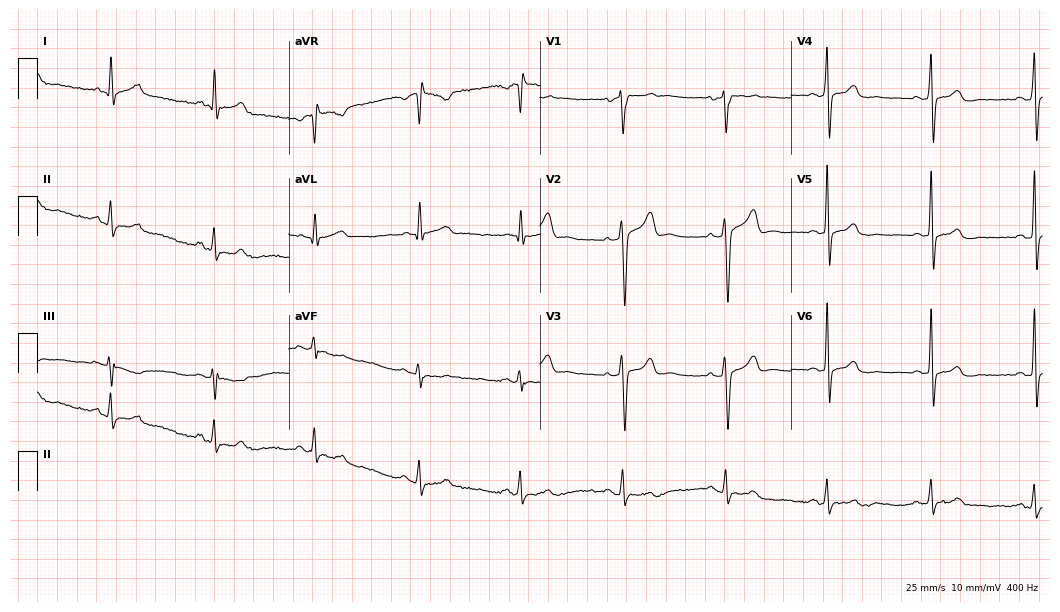
ECG (10.2-second recording at 400 Hz) — a 39-year-old male. Screened for six findings — first-degree AV block, right bundle branch block, left bundle branch block, sinus bradycardia, atrial fibrillation, sinus tachycardia — none is recorded. Other findings, if any, are not listed.